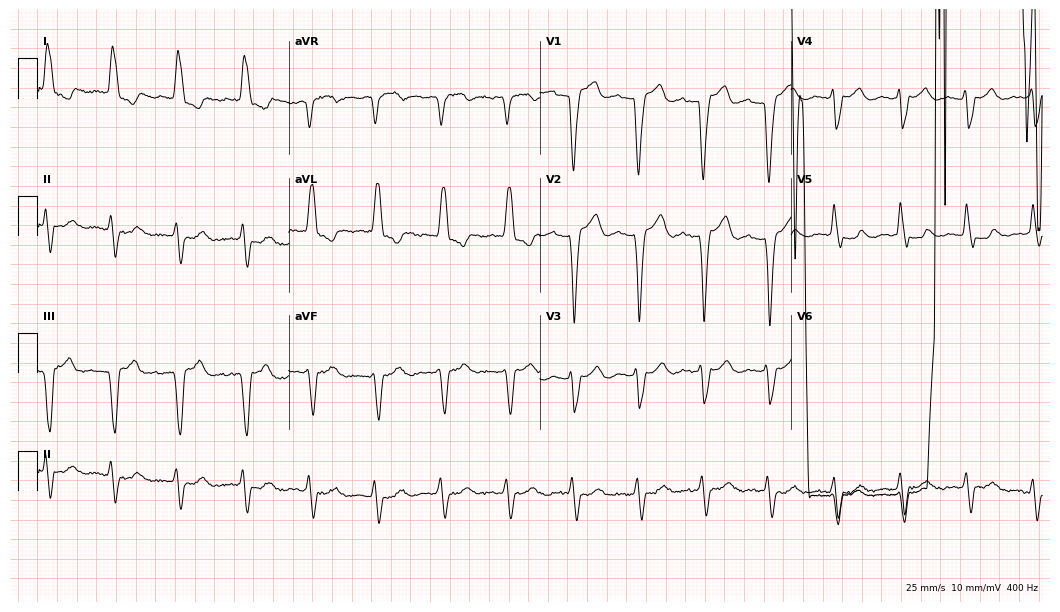
Standard 12-lead ECG recorded from a female patient, 82 years old. The tracing shows atrial fibrillation (AF).